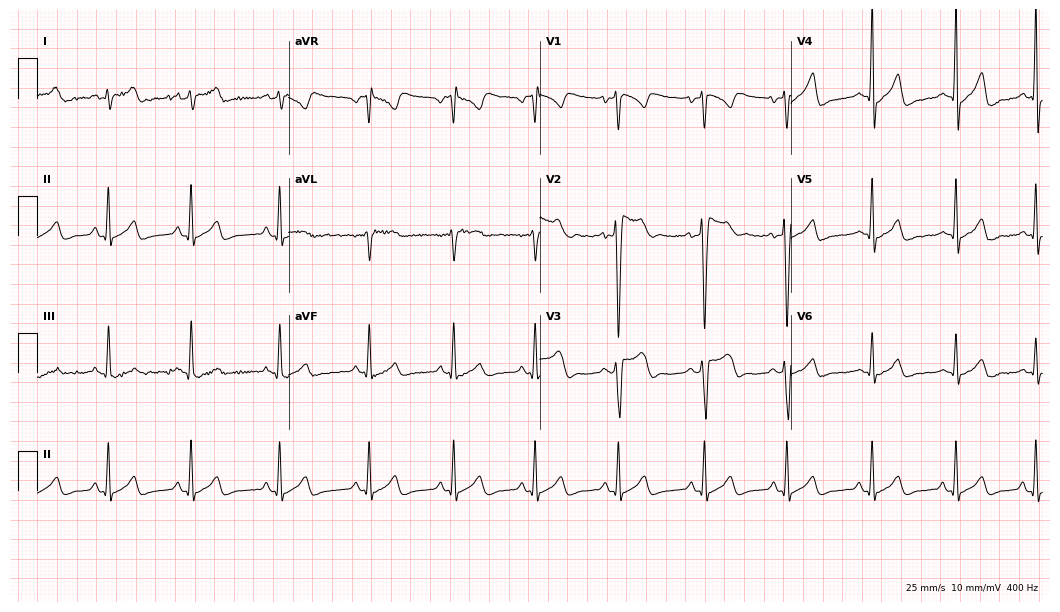
Standard 12-lead ECG recorded from a male, 18 years old (10.2-second recording at 400 Hz). None of these six findings is recorded: first-degree AV block, right bundle branch block (RBBB), left bundle branch block (LBBB), sinus bradycardia, atrial fibrillation (AF), sinus tachycardia.